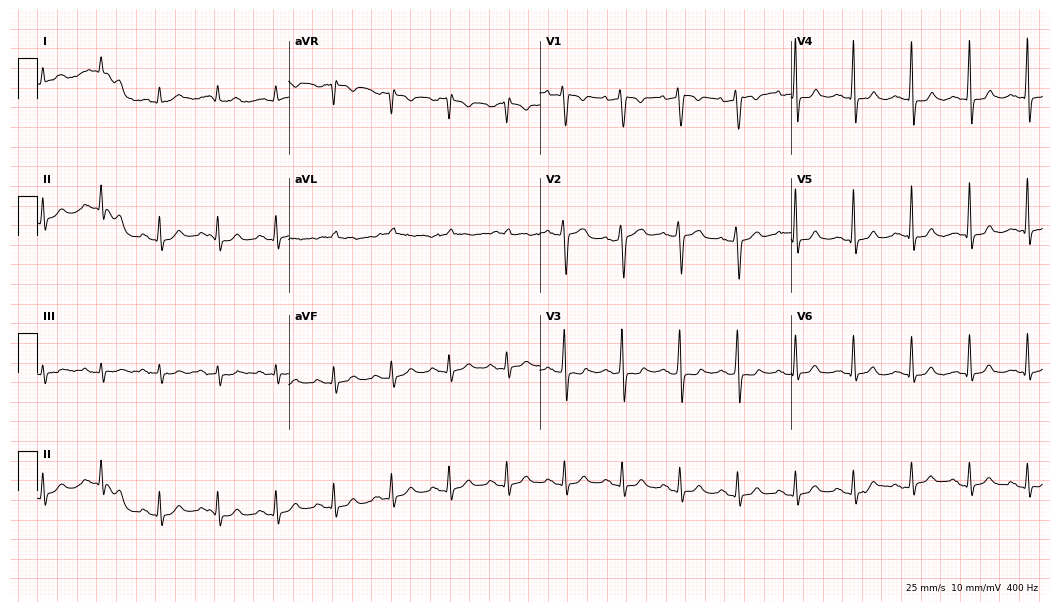
Resting 12-lead electrocardiogram. Patient: a 73-year-old male. Read as a normal ECG.